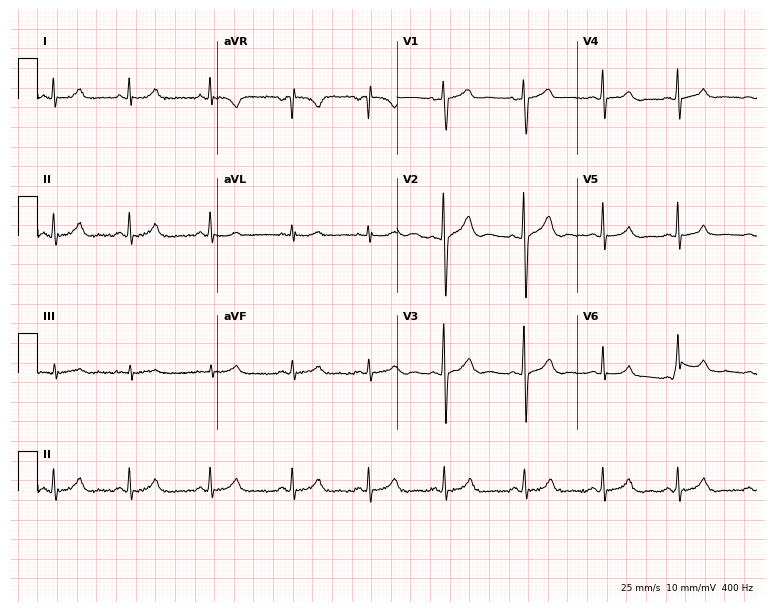
Standard 12-lead ECG recorded from a 27-year-old female (7.3-second recording at 400 Hz). None of these six findings is recorded: first-degree AV block, right bundle branch block (RBBB), left bundle branch block (LBBB), sinus bradycardia, atrial fibrillation (AF), sinus tachycardia. Only these six findings were labelled.